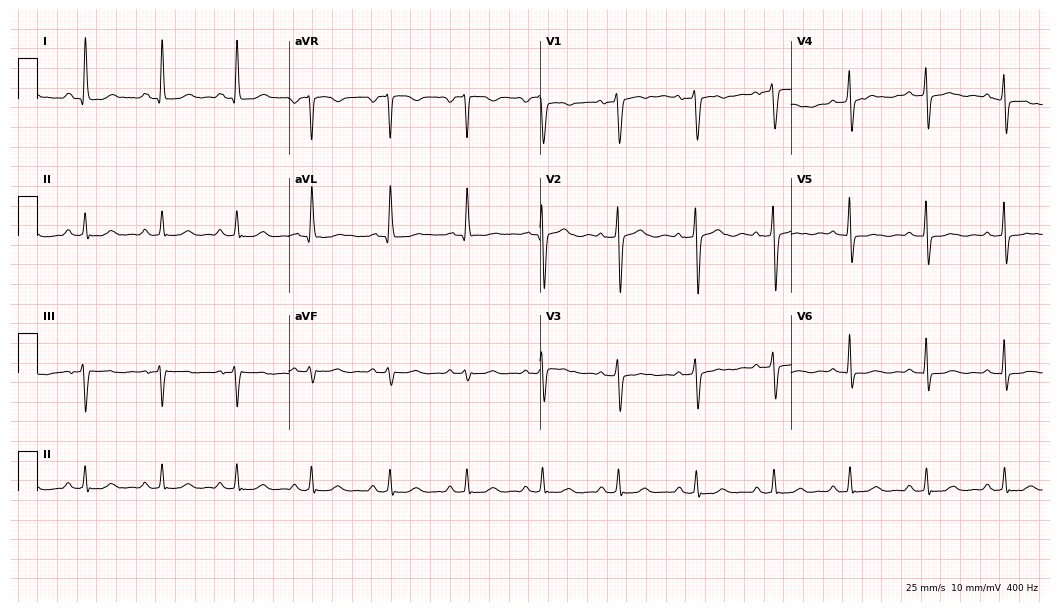
ECG — a female, 49 years old. Labelled as a normal ECG.